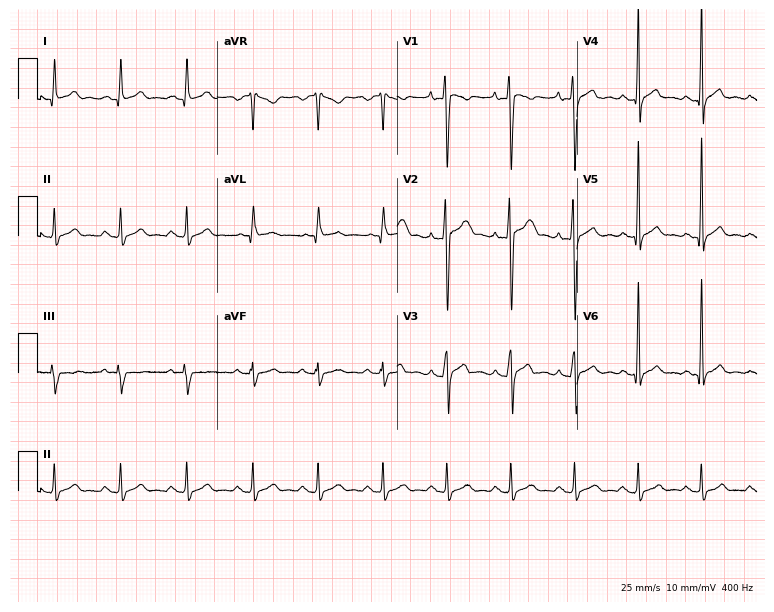
12-lead ECG from a 19-year-old male patient. Recorded interpretation: within normal limits.